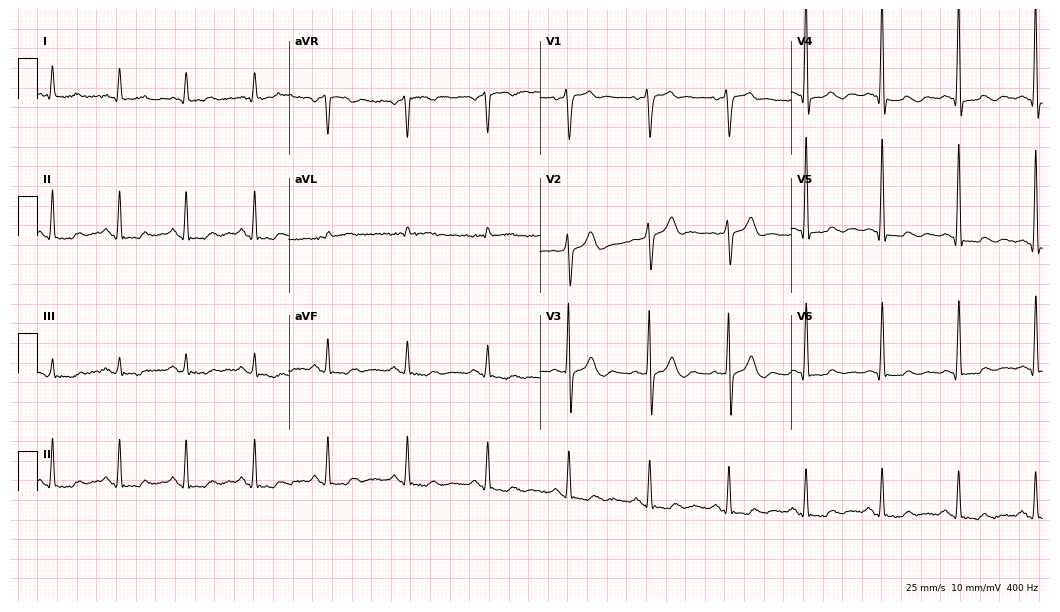
Resting 12-lead electrocardiogram. Patient: a male, 64 years old. None of these six findings is recorded: first-degree AV block, right bundle branch block, left bundle branch block, sinus bradycardia, atrial fibrillation, sinus tachycardia. Findings outside these six are not listed.